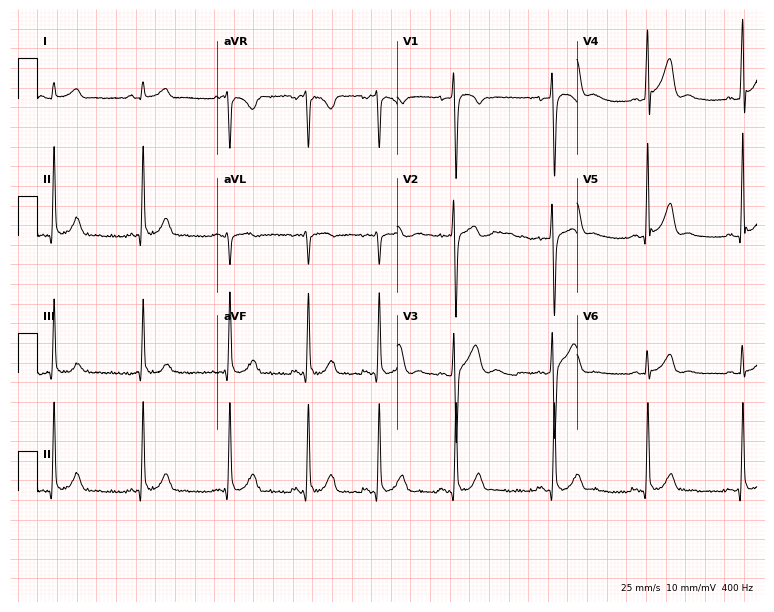
Resting 12-lead electrocardiogram. Patient: a male, 32 years old. Read as a normal ECG.